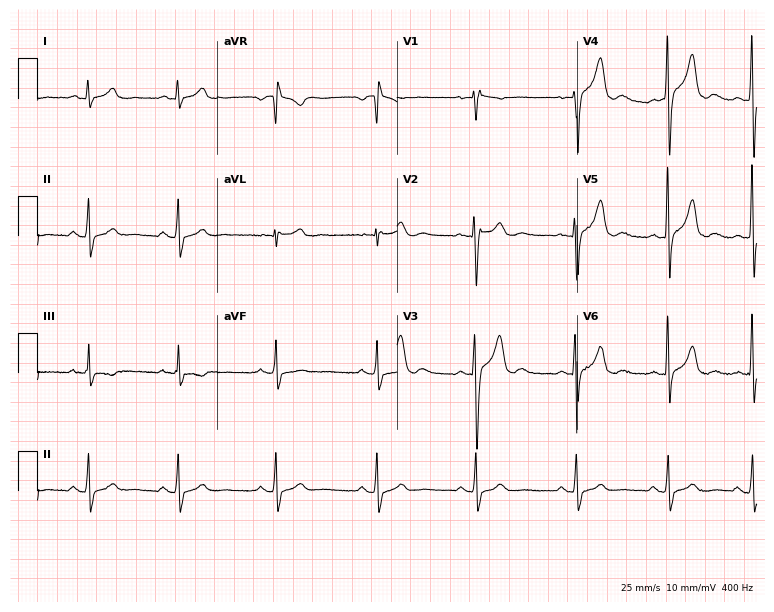
Electrocardiogram, a male, 20 years old. Of the six screened findings (first-degree AV block, right bundle branch block, left bundle branch block, sinus bradycardia, atrial fibrillation, sinus tachycardia), none is recorded.